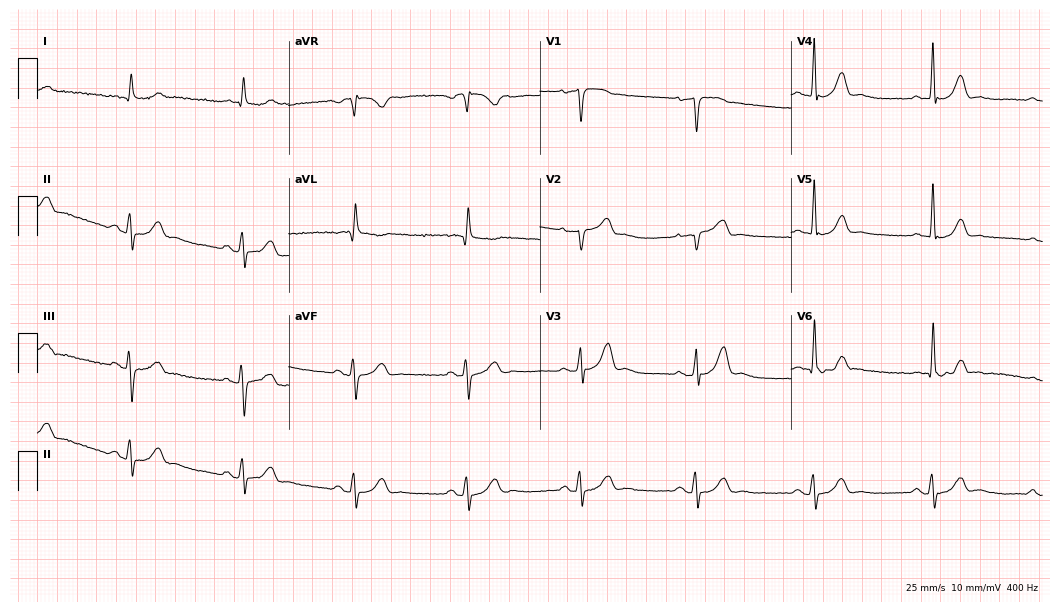
Standard 12-lead ECG recorded from a male, 74 years old (10.2-second recording at 400 Hz). Read as a normal ECG.